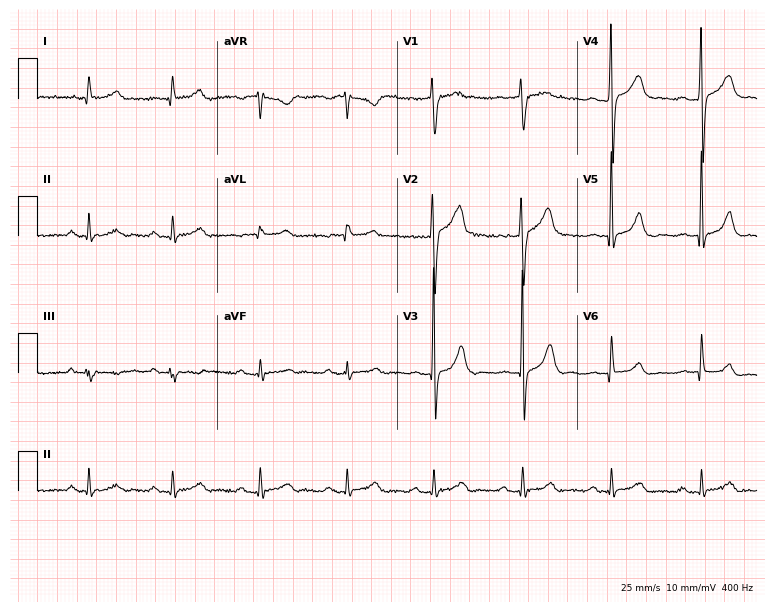
Standard 12-lead ECG recorded from a male patient, 50 years old. The tracing shows first-degree AV block.